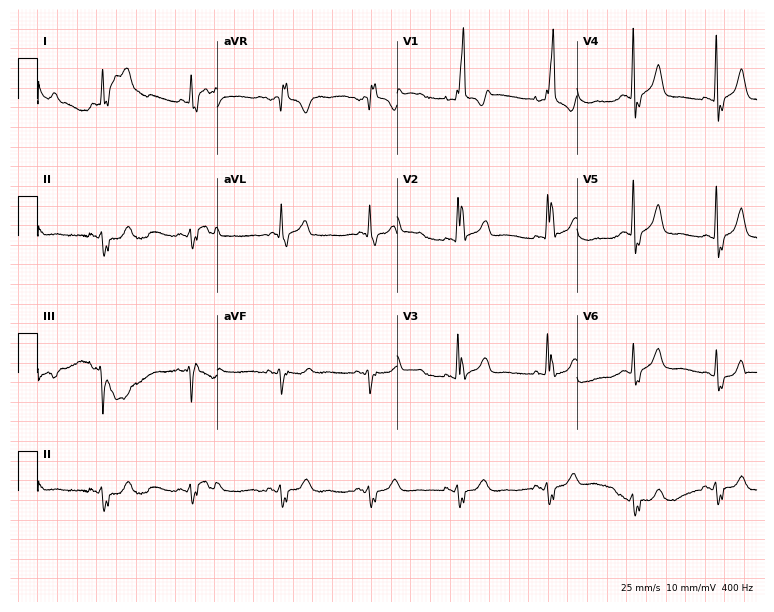
12-lead ECG from a woman, 82 years old (7.3-second recording at 400 Hz). Shows right bundle branch block.